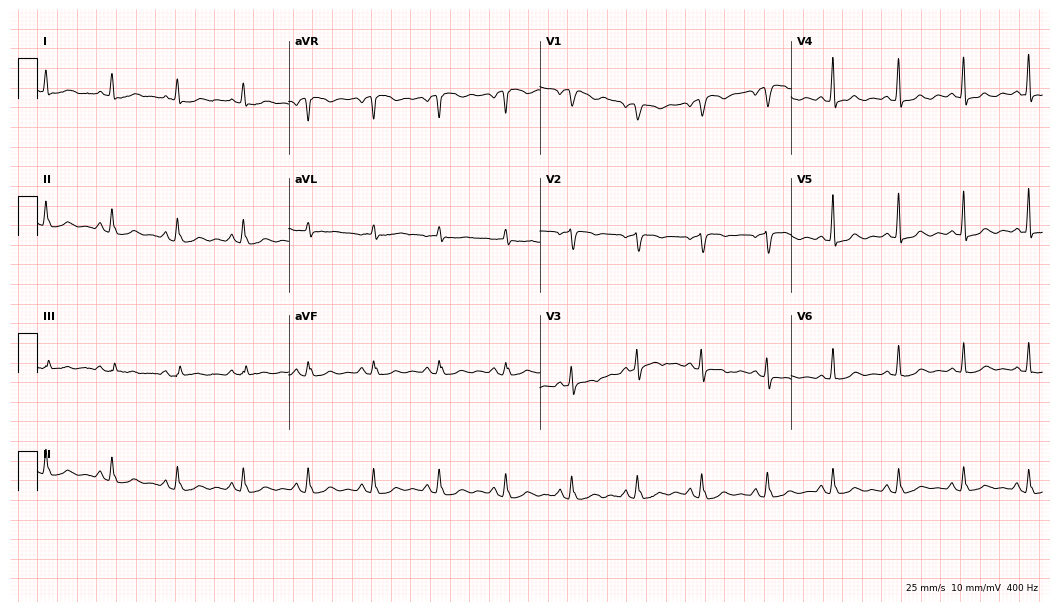
ECG — a female, 80 years old. Screened for six findings — first-degree AV block, right bundle branch block, left bundle branch block, sinus bradycardia, atrial fibrillation, sinus tachycardia — none is recorded.